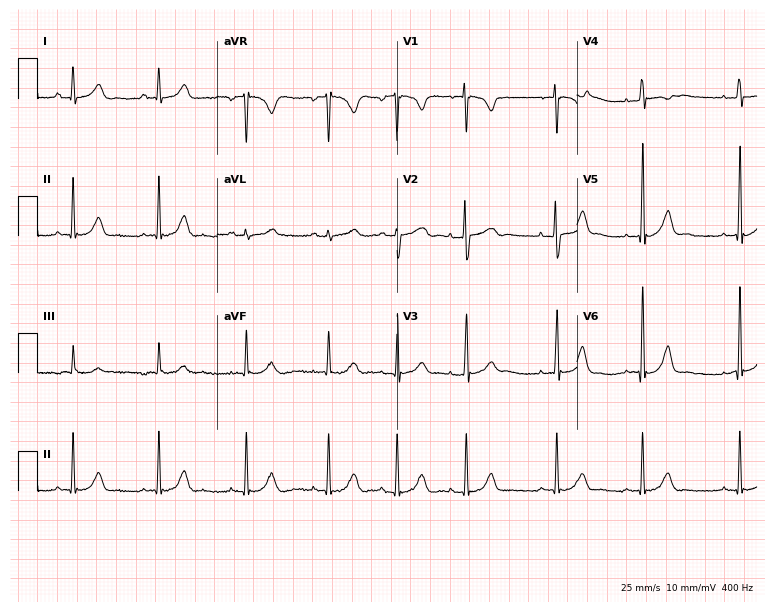
ECG — a 21-year-old female patient. Labelled as a normal ECG.